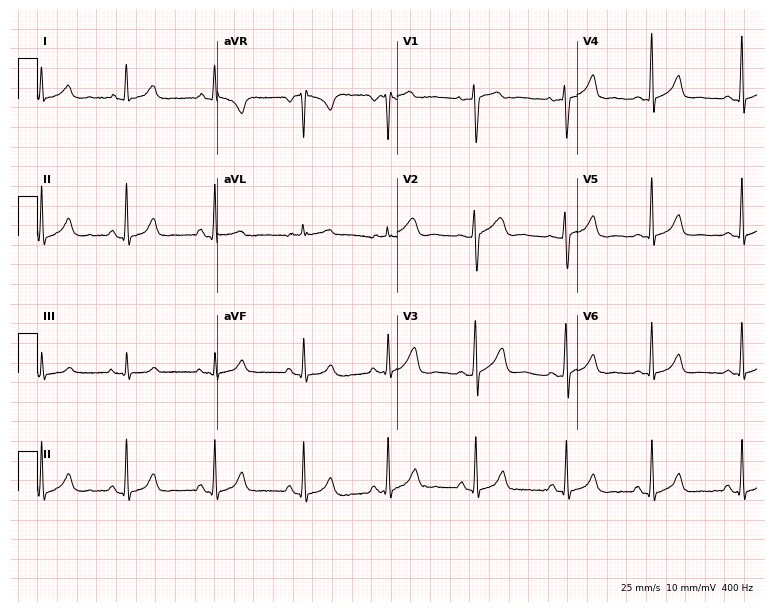
12-lead ECG from a female, 47 years old (7.3-second recording at 400 Hz). Recorded interpretation: within normal limits.